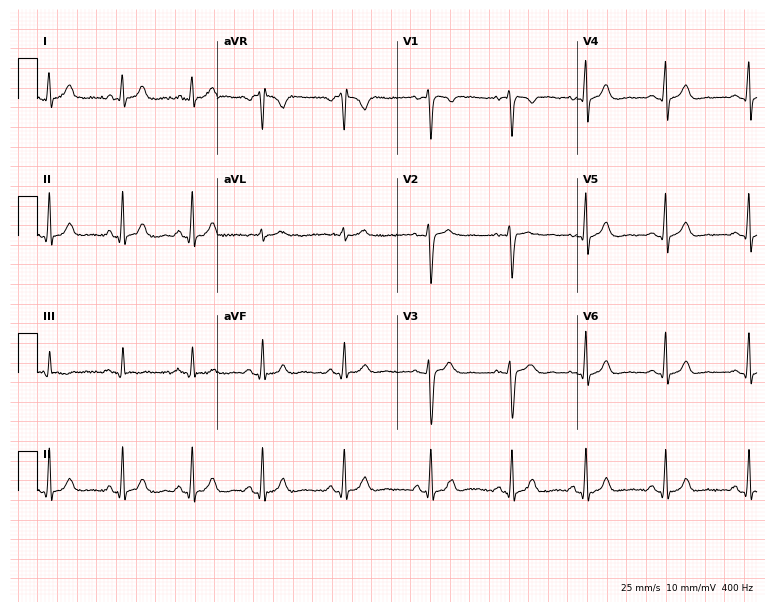
Electrocardiogram (7.3-second recording at 400 Hz), a 27-year-old female patient. Overall reading on record: normal ECG.